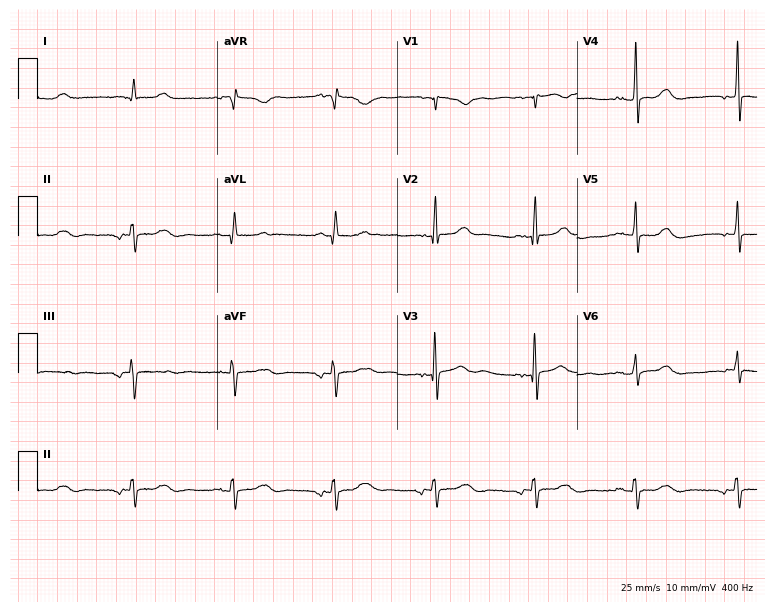
ECG (7.3-second recording at 400 Hz) — a woman, 52 years old. Screened for six findings — first-degree AV block, right bundle branch block, left bundle branch block, sinus bradycardia, atrial fibrillation, sinus tachycardia — none is recorded.